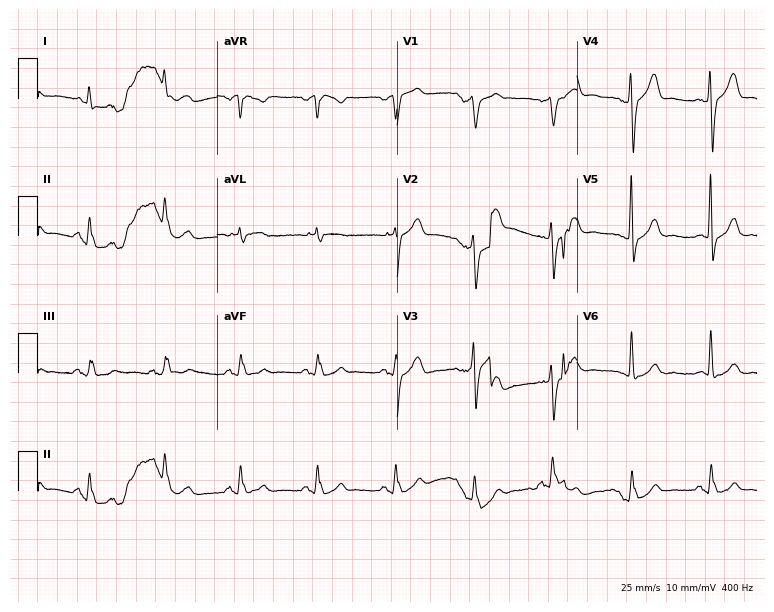
12-lead ECG from a male, 73 years old. No first-degree AV block, right bundle branch block, left bundle branch block, sinus bradycardia, atrial fibrillation or sinus tachycardia recorded for this tracing.